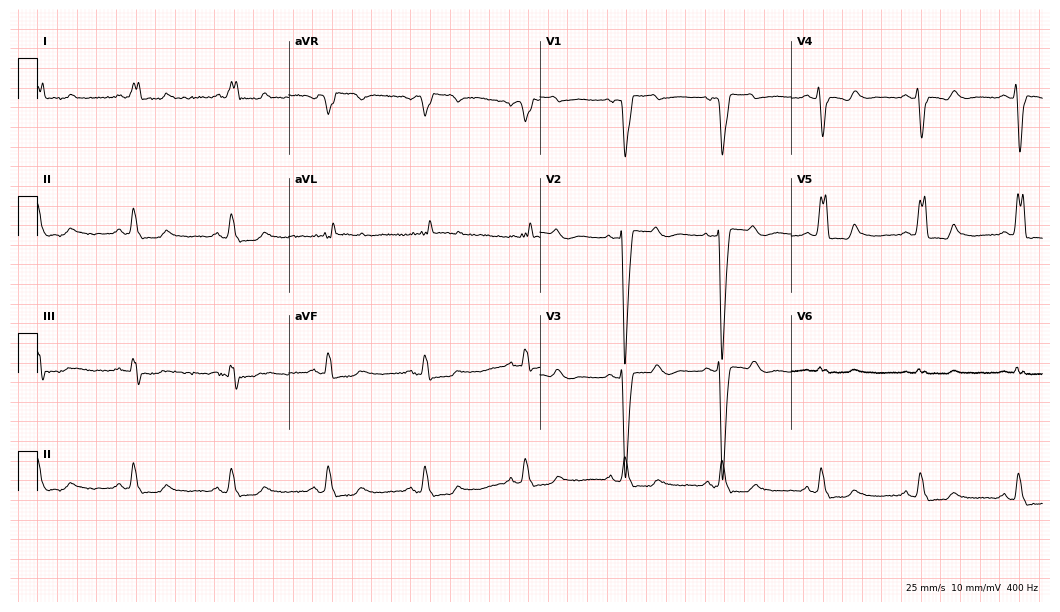
12-lead ECG from a 51-year-old woman. Findings include left bundle branch block.